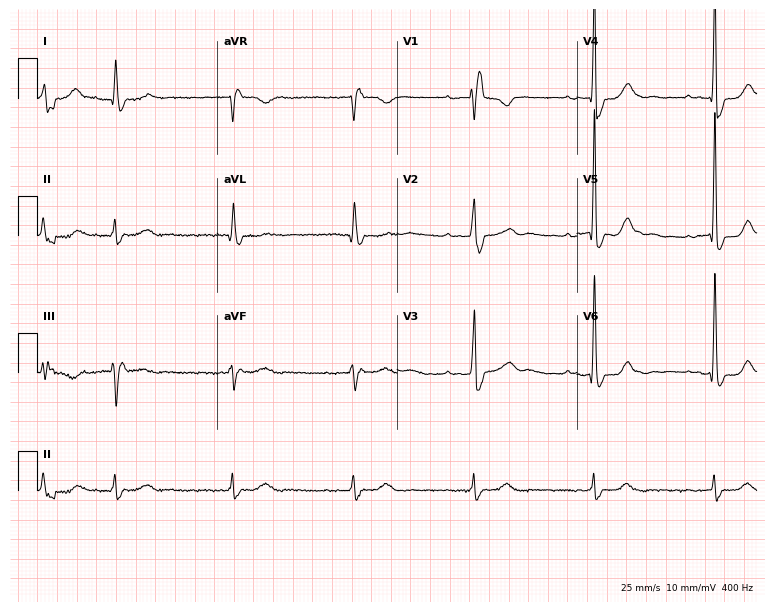
Electrocardiogram (7.3-second recording at 400 Hz), a 73-year-old male patient. Interpretation includes first-degree AV block, right bundle branch block, atrial fibrillation.